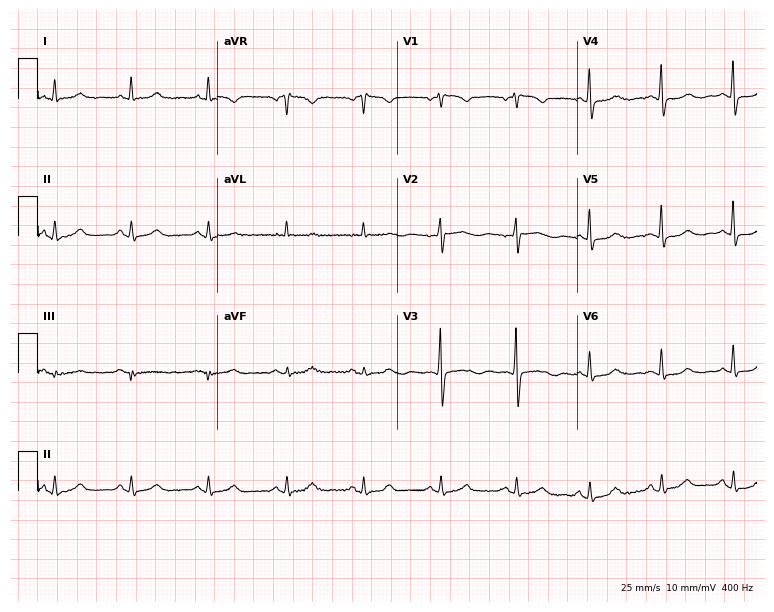
12-lead ECG from a 62-year-old female patient. Screened for six findings — first-degree AV block, right bundle branch block, left bundle branch block, sinus bradycardia, atrial fibrillation, sinus tachycardia — none is recorded. Only these six findings were labelled.